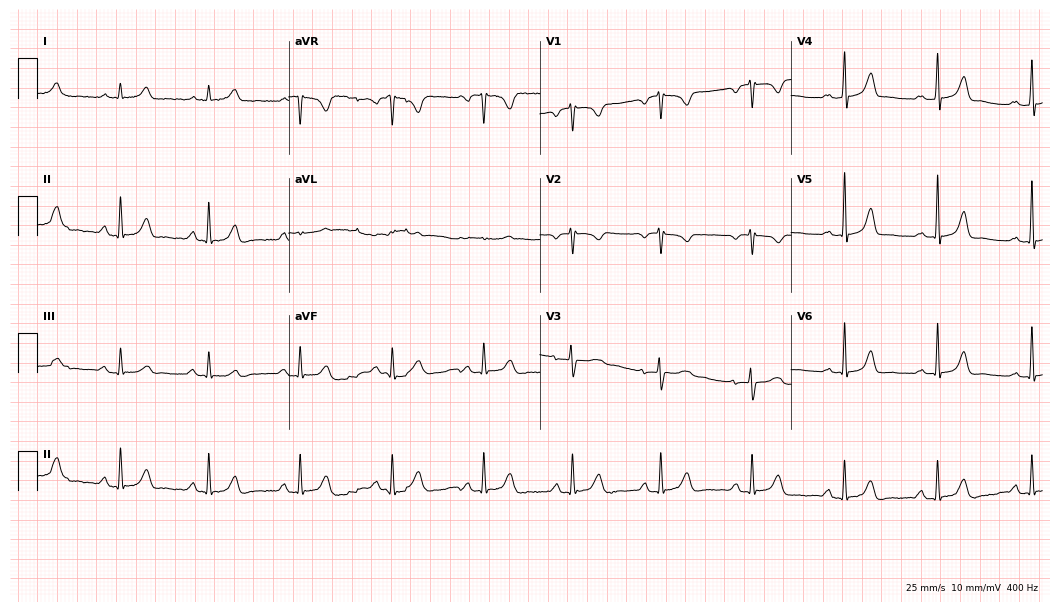
Electrocardiogram (10.2-second recording at 400 Hz), a female, 59 years old. Overall reading on record: normal ECG.